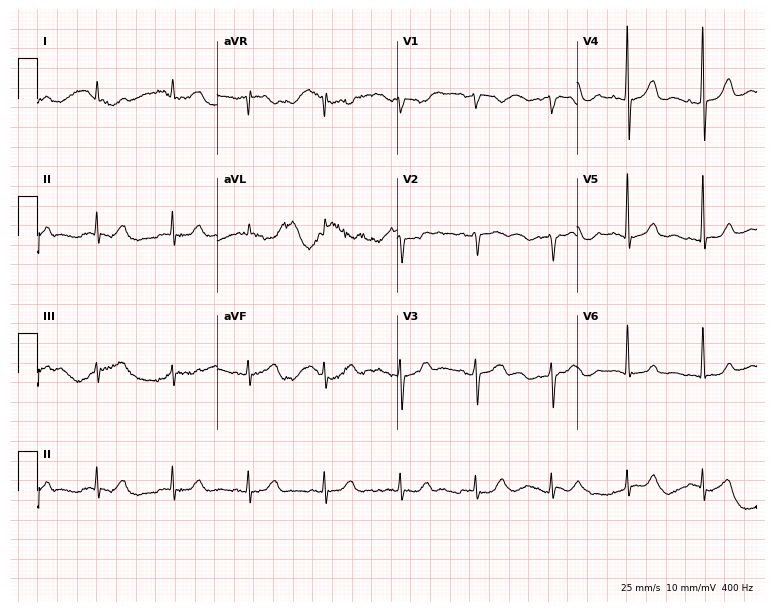
12-lead ECG from a 69-year-old male patient. Findings include atrial fibrillation.